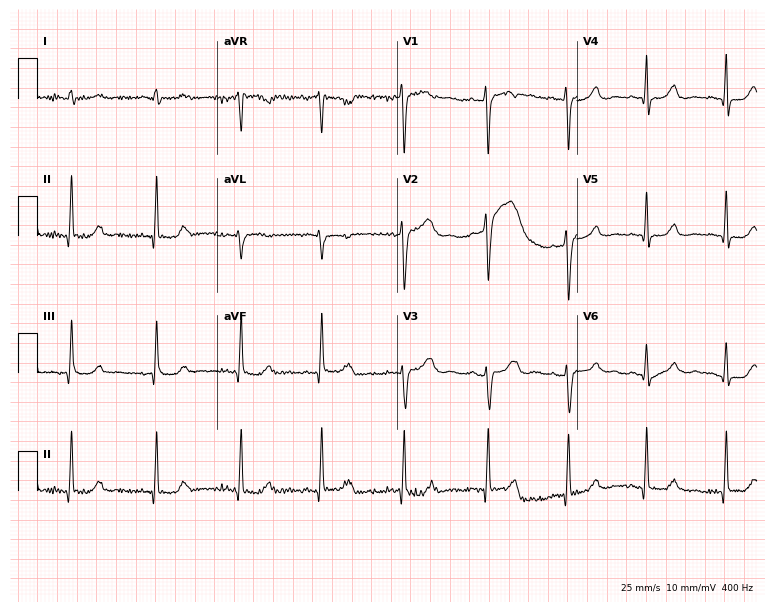
Electrocardiogram (7.3-second recording at 400 Hz), a female patient, 49 years old. Overall reading on record: normal ECG.